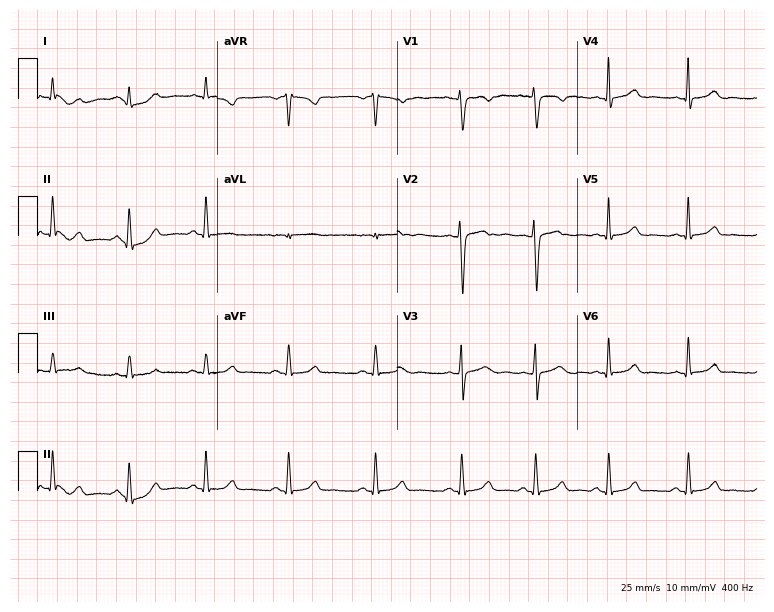
ECG — a 35-year-old female patient. Labelled as a normal ECG.